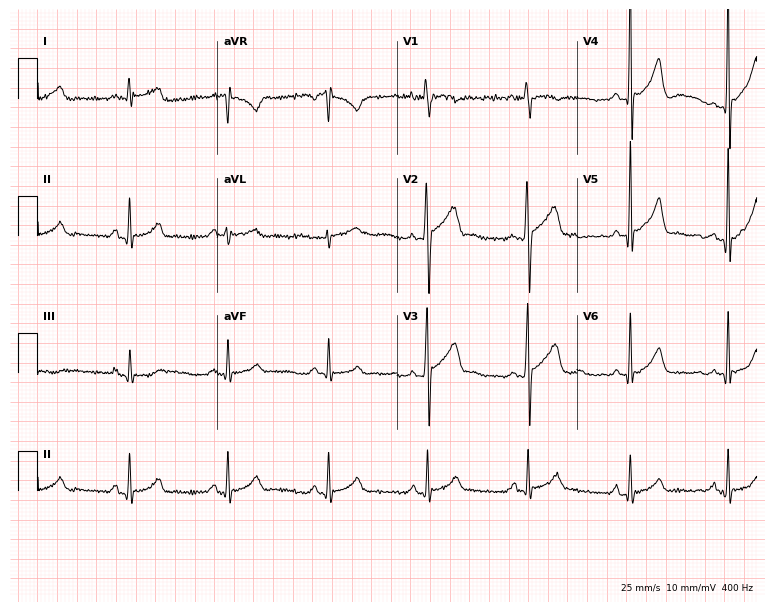
Resting 12-lead electrocardiogram. Patient: a male, 38 years old. None of these six findings is recorded: first-degree AV block, right bundle branch block (RBBB), left bundle branch block (LBBB), sinus bradycardia, atrial fibrillation (AF), sinus tachycardia.